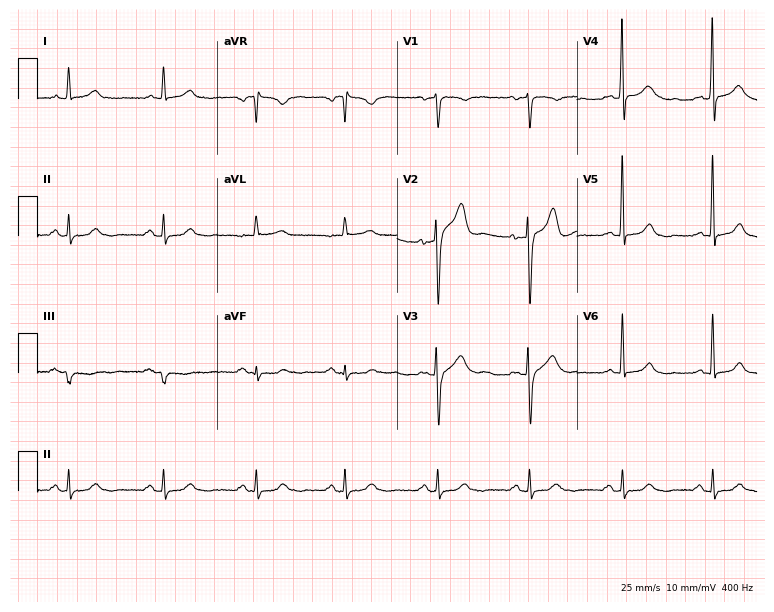
Electrocardiogram, a male, 54 years old. Of the six screened findings (first-degree AV block, right bundle branch block (RBBB), left bundle branch block (LBBB), sinus bradycardia, atrial fibrillation (AF), sinus tachycardia), none is recorded. Findings outside these six are not listed.